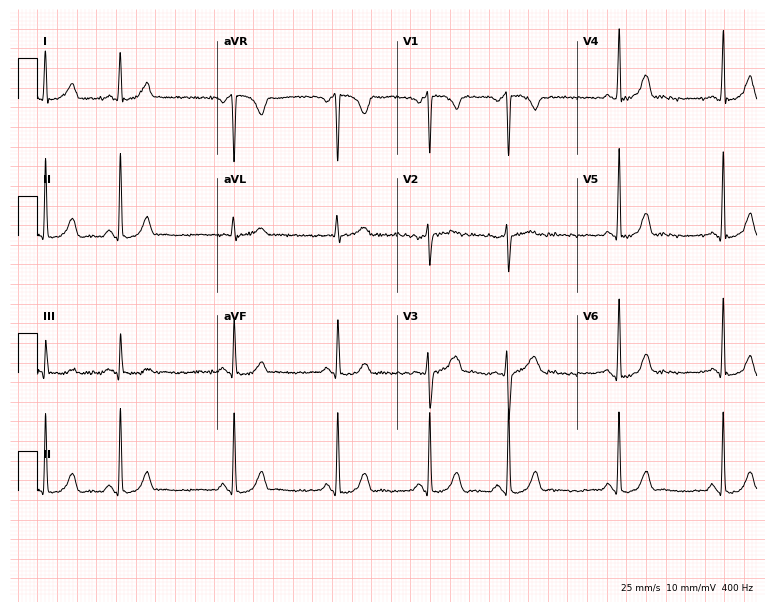
12-lead ECG from a 30-year-old female (7.3-second recording at 400 Hz). Recorded interpretation: within normal limits.